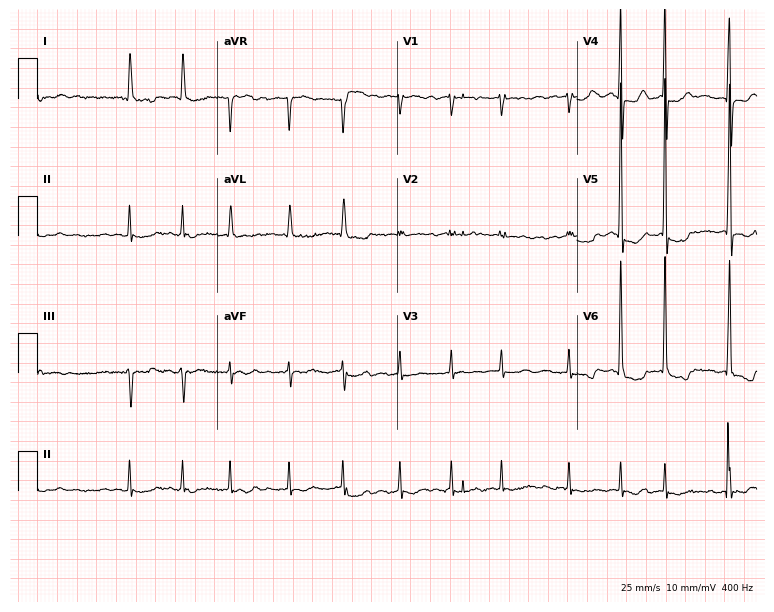
Resting 12-lead electrocardiogram (7.3-second recording at 400 Hz). Patient: a 78-year-old female. The tracing shows atrial fibrillation (AF).